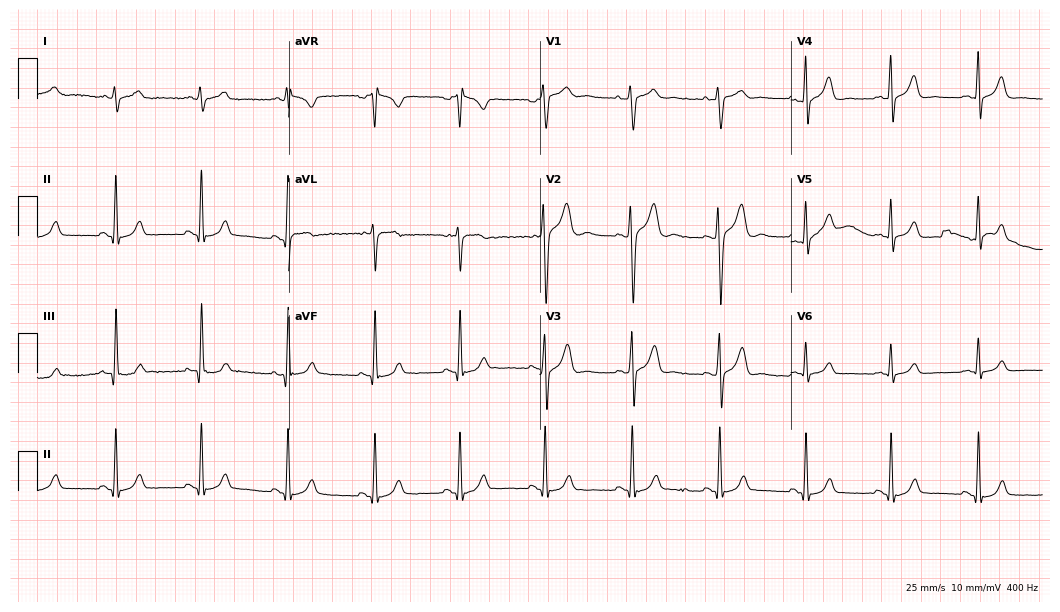
Electrocardiogram, a 26-year-old male patient. Overall reading on record: normal ECG.